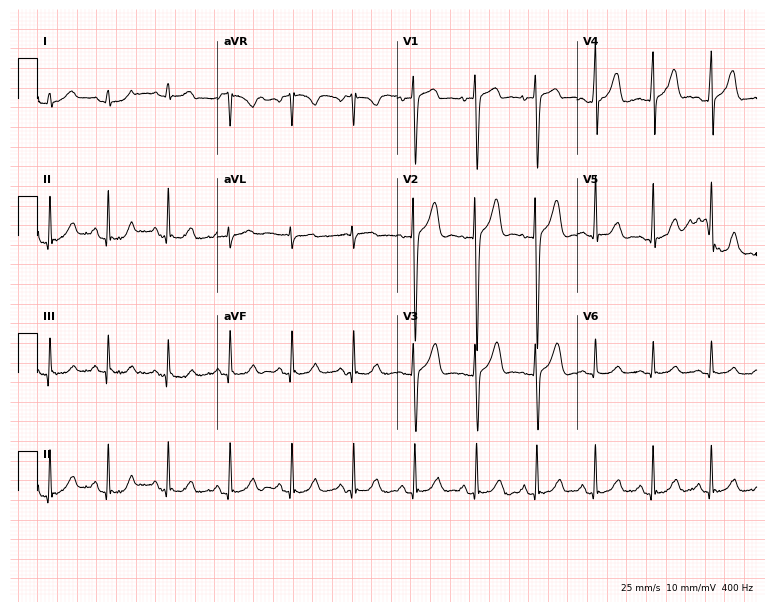
Electrocardiogram, a female, 24 years old. Of the six screened findings (first-degree AV block, right bundle branch block, left bundle branch block, sinus bradycardia, atrial fibrillation, sinus tachycardia), none is recorded.